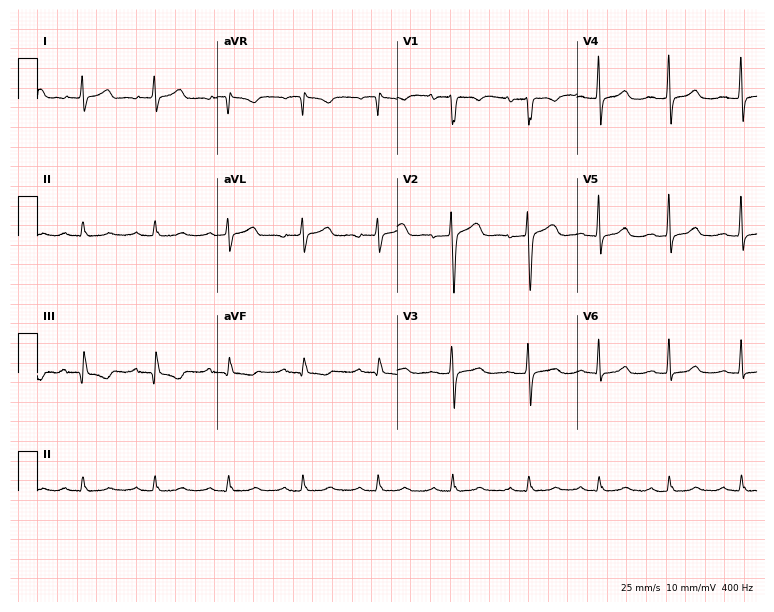
ECG (7.3-second recording at 400 Hz) — a female patient, 51 years old. Findings include first-degree AV block.